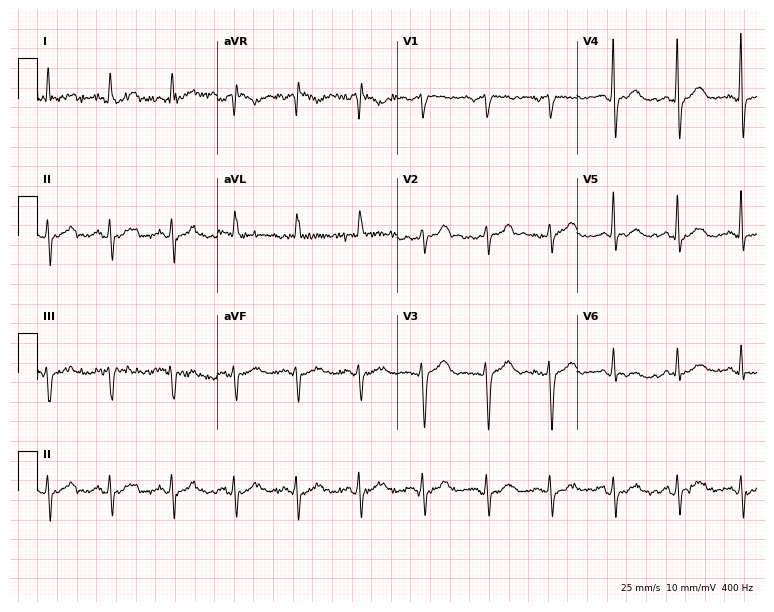
Resting 12-lead electrocardiogram. Patient: an 82-year-old male. None of these six findings is recorded: first-degree AV block, right bundle branch block, left bundle branch block, sinus bradycardia, atrial fibrillation, sinus tachycardia.